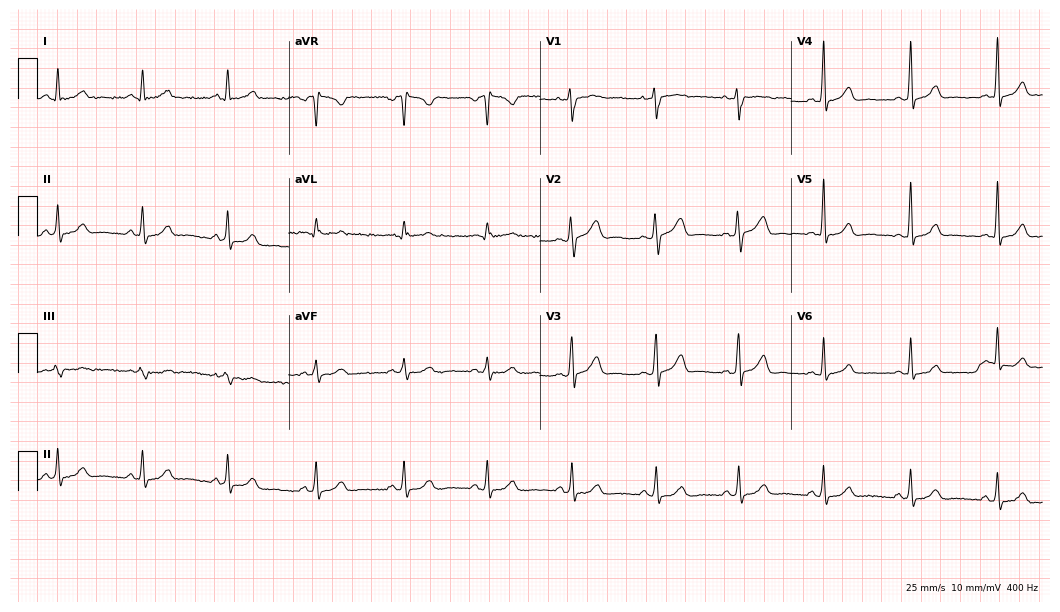
Electrocardiogram, a female, 29 years old. Of the six screened findings (first-degree AV block, right bundle branch block, left bundle branch block, sinus bradycardia, atrial fibrillation, sinus tachycardia), none is recorded. Other findings, if any, are not listed.